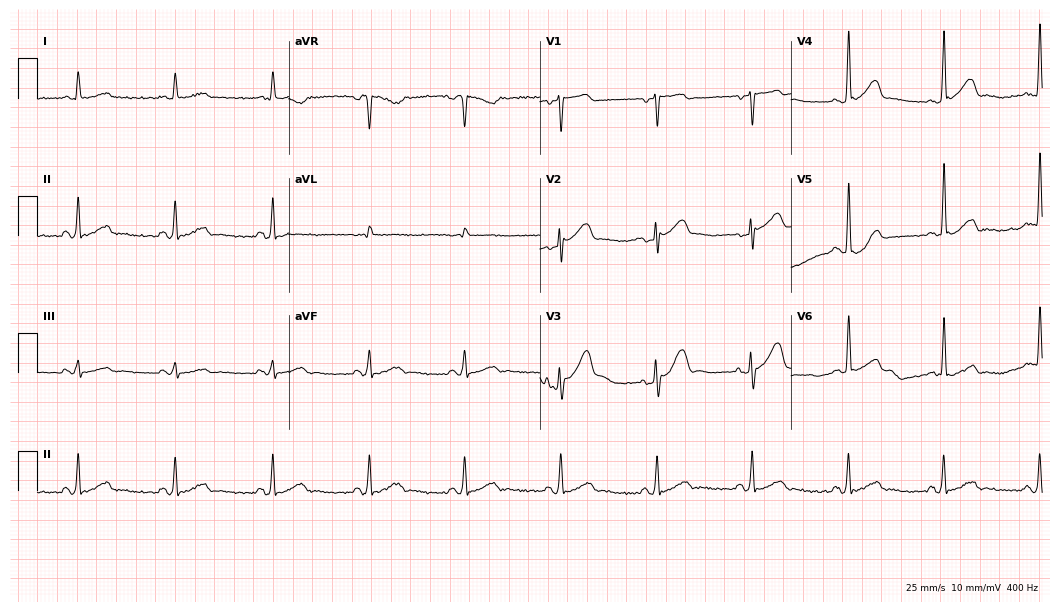
12-lead ECG from a male, 58 years old (10.2-second recording at 400 Hz). Recorded interpretation: within normal limits.